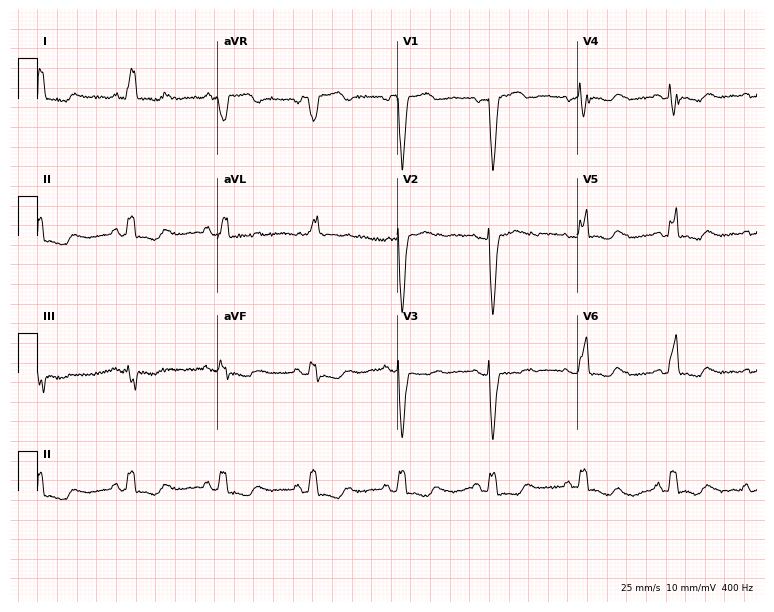
12-lead ECG from a woman, 70 years old (7.3-second recording at 400 Hz). Shows left bundle branch block.